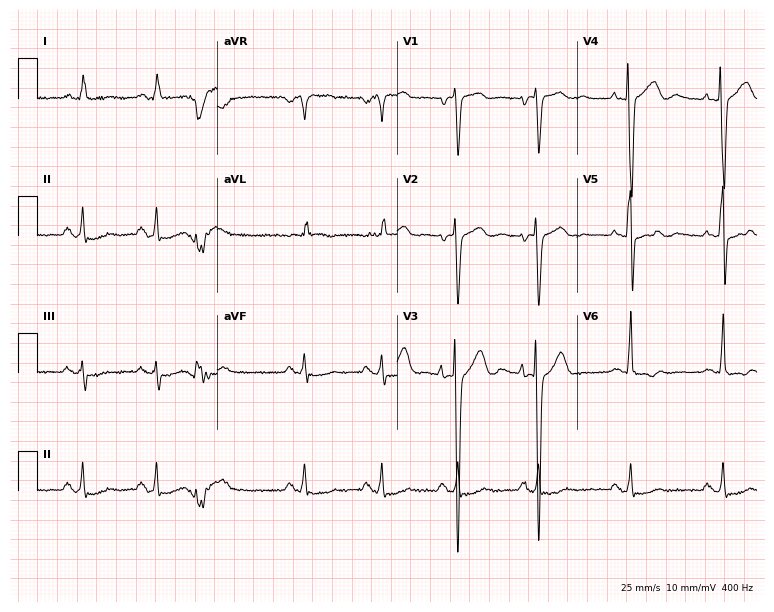
Electrocardiogram (7.3-second recording at 400 Hz), a man, 70 years old. Of the six screened findings (first-degree AV block, right bundle branch block, left bundle branch block, sinus bradycardia, atrial fibrillation, sinus tachycardia), none is recorded.